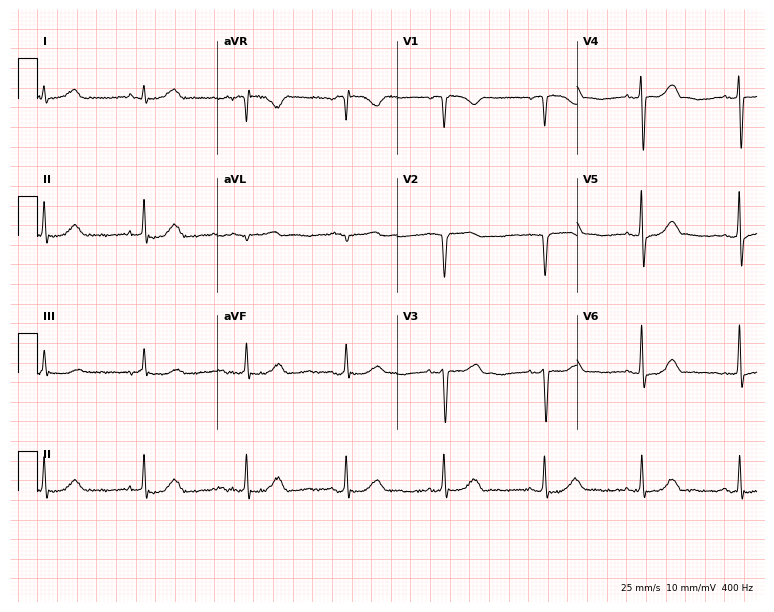
Standard 12-lead ECG recorded from a male patient, 50 years old. None of these six findings is recorded: first-degree AV block, right bundle branch block, left bundle branch block, sinus bradycardia, atrial fibrillation, sinus tachycardia. Only these six findings were labelled.